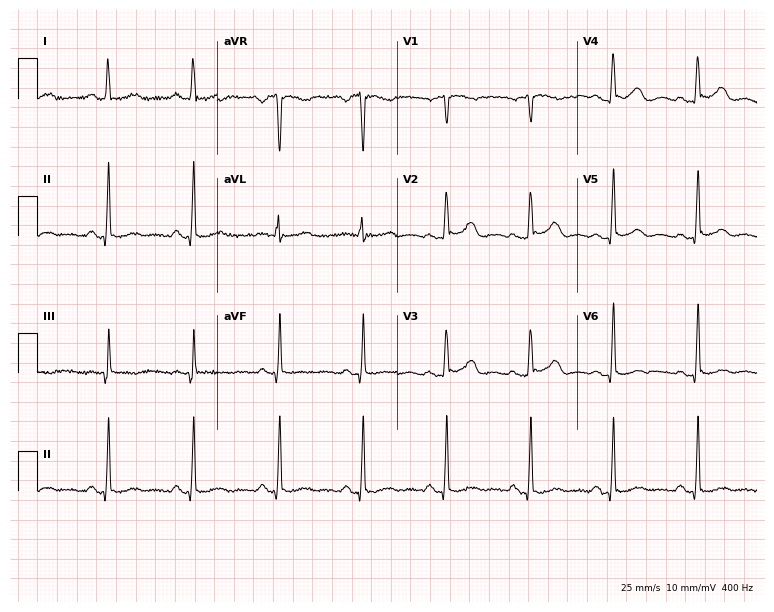
Standard 12-lead ECG recorded from a 40-year-old woman (7.3-second recording at 400 Hz). None of these six findings is recorded: first-degree AV block, right bundle branch block (RBBB), left bundle branch block (LBBB), sinus bradycardia, atrial fibrillation (AF), sinus tachycardia.